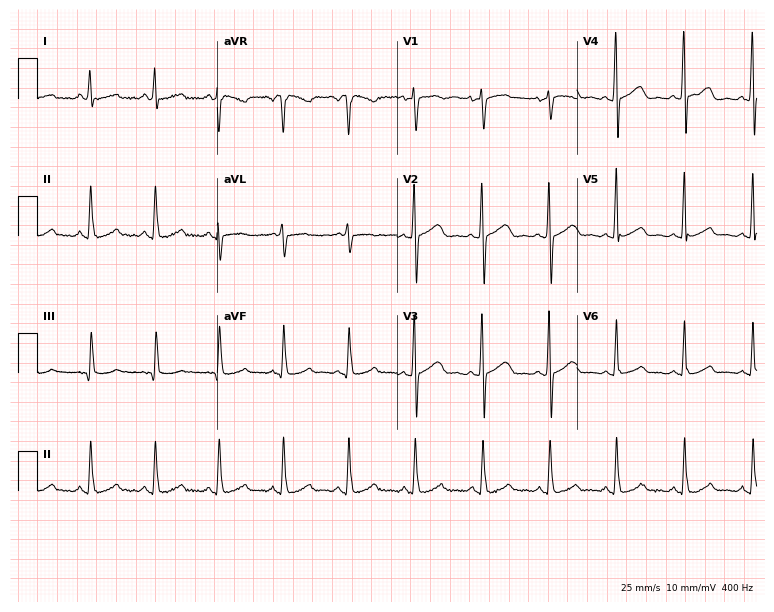
Standard 12-lead ECG recorded from a woman, 51 years old (7.3-second recording at 400 Hz). Read as a normal ECG.